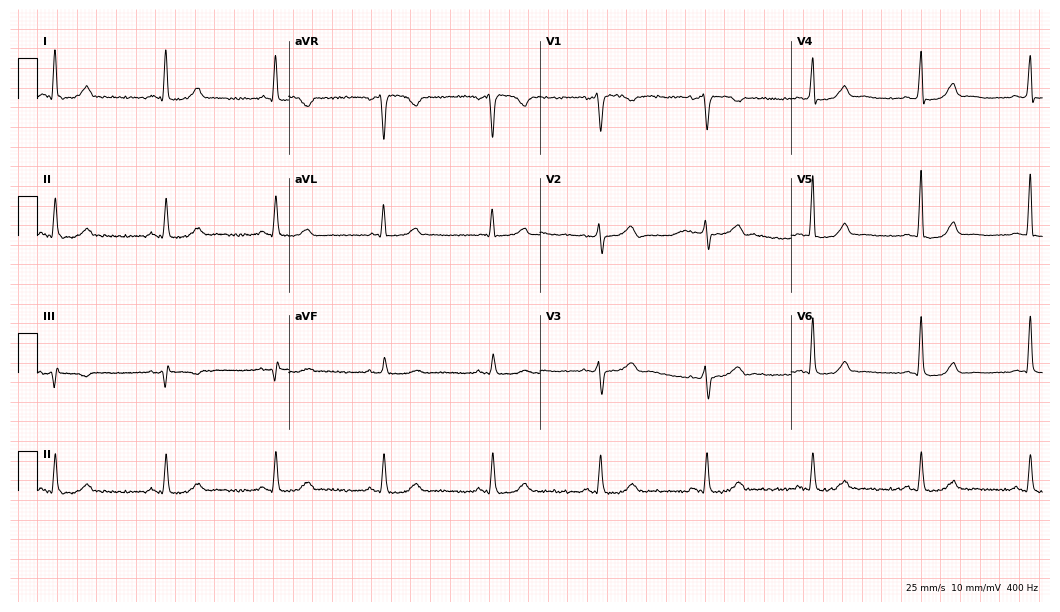
Standard 12-lead ECG recorded from a female patient, 42 years old. Read as a normal ECG.